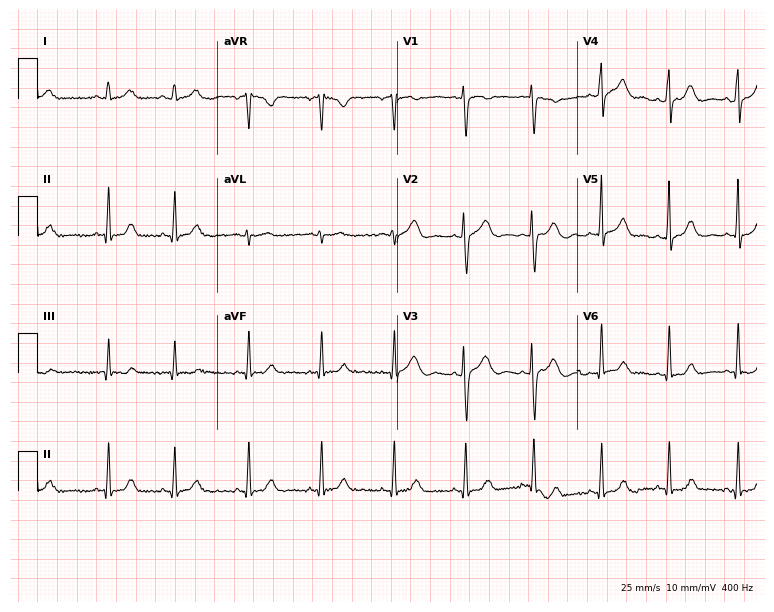
12-lead ECG from a female patient, 25 years old. Screened for six findings — first-degree AV block, right bundle branch block (RBBB), left bundle branch block (LBBB), sinus bradycardia, atrial fibrillation (AF), sinus tachycardia — none is recorded.